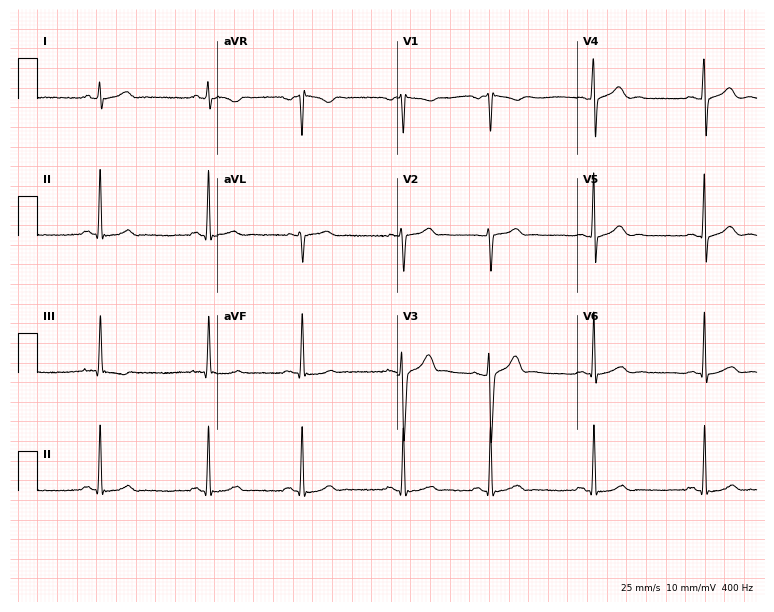
12-lead ECG from a 28-year-old male (7.3-second recording at 400 Hz). Recorded interpretation: within normal limits.